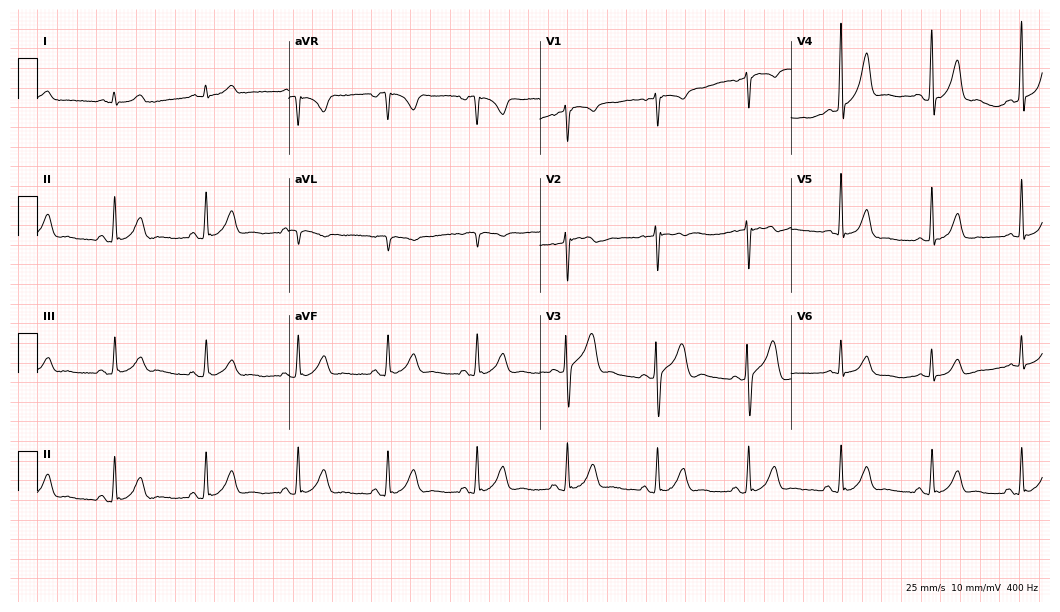
Standard 12-lead ECG recorded from a 58-year-old male patient. Read as a normal ECG.